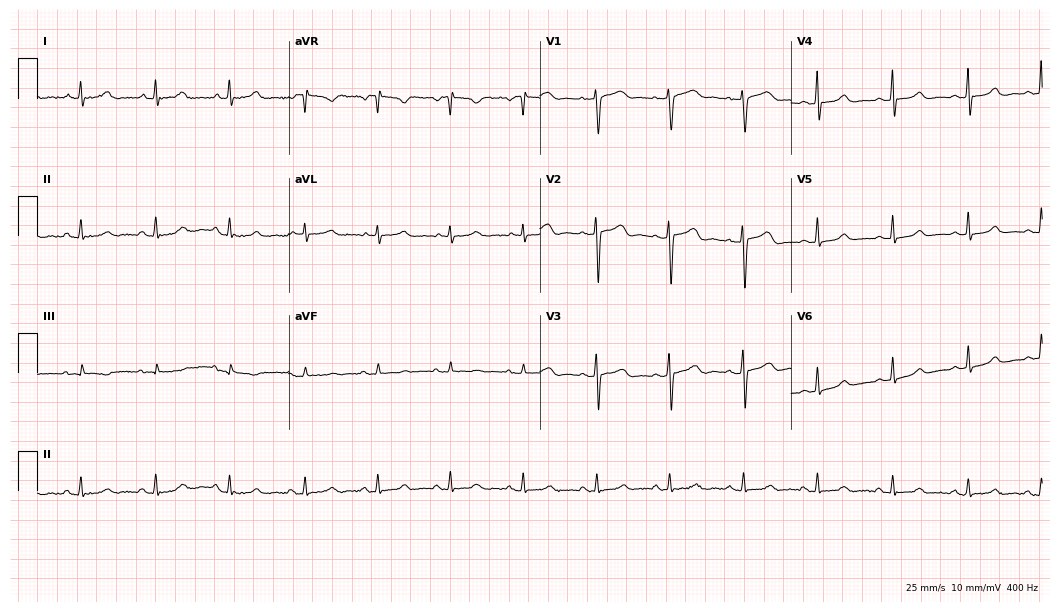
Standard 12-lead ECG recorded from a 59-year-old female (10.2-second recording at 400 Hz). Read as a normal ECG.